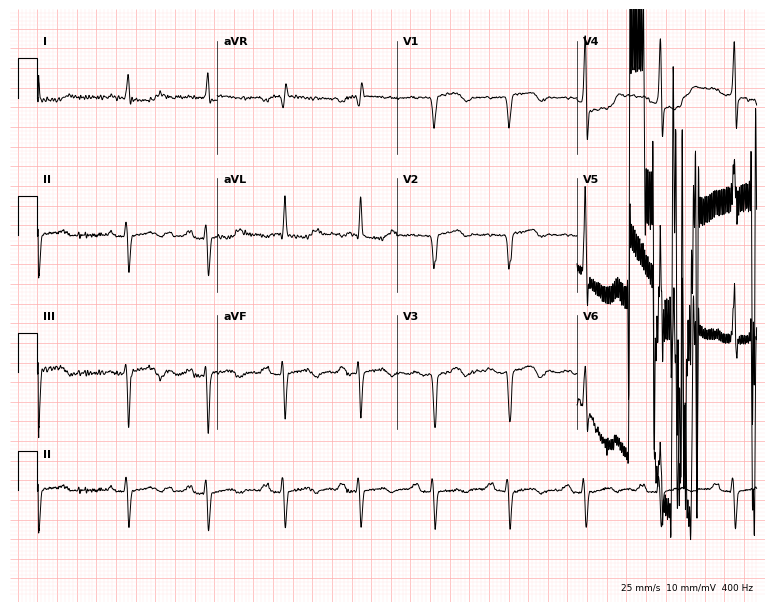
Resting 12-lead electrocardiogram. Patient: an 85-year-old man. None of these six findings is recorded: first-degree AV block, right bundle branch block (RBBB), left bundle branch block (LBBB), sinus bradycardia, atrial fibrillation (AF), sinus tachycardia.